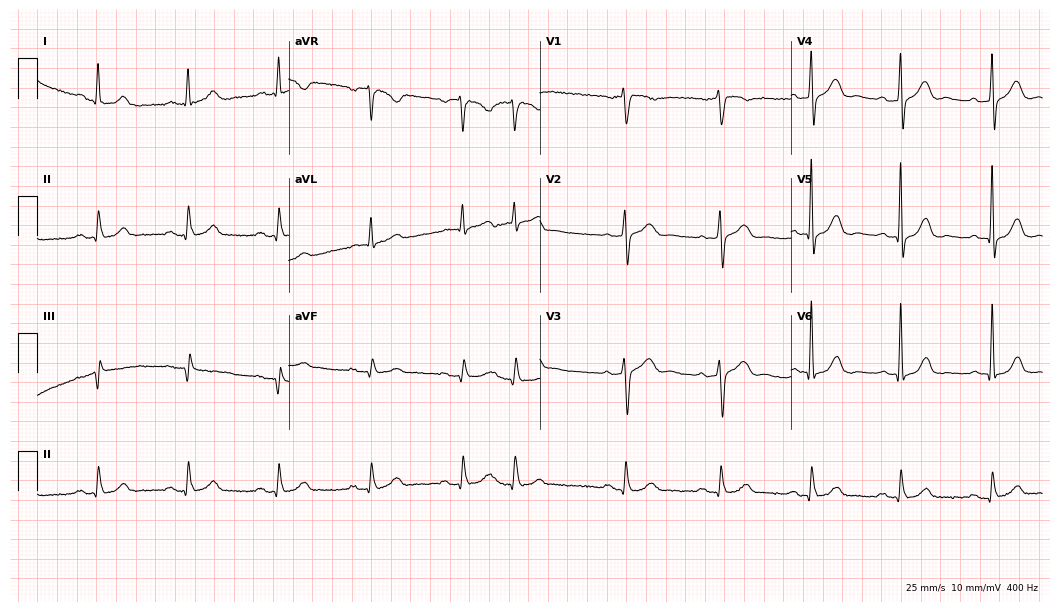
Resting 12-lead electrocardiogram (10.2-second recording at 400 Hz). Patient: a female, 67 years old. Read as a normal ECG.